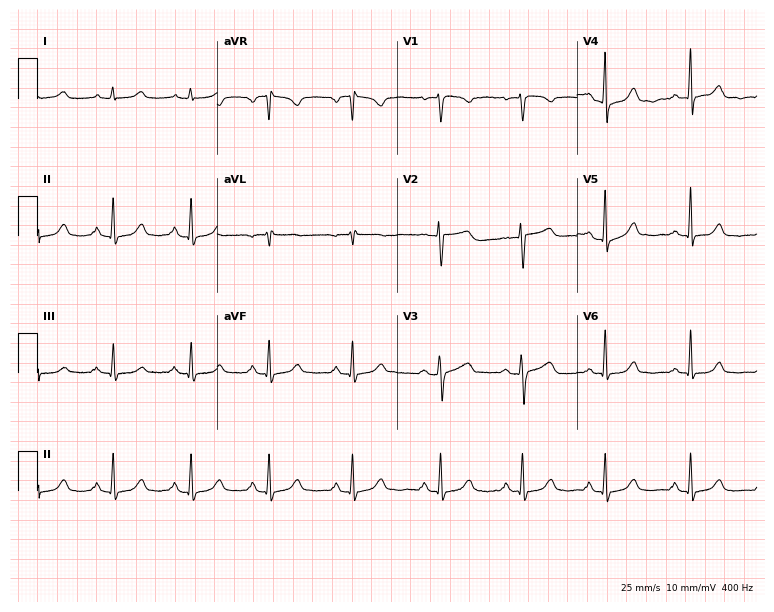
Electrocardiogram (7.3-second recording at 400 Hz), a 45-year-old female patient. Of the six screened findings (first-degree AV block, right bundle branch block, left bundle branch block, sinus bradycardia, atrial fibrillation, sinus tachycardia), none is recorded.